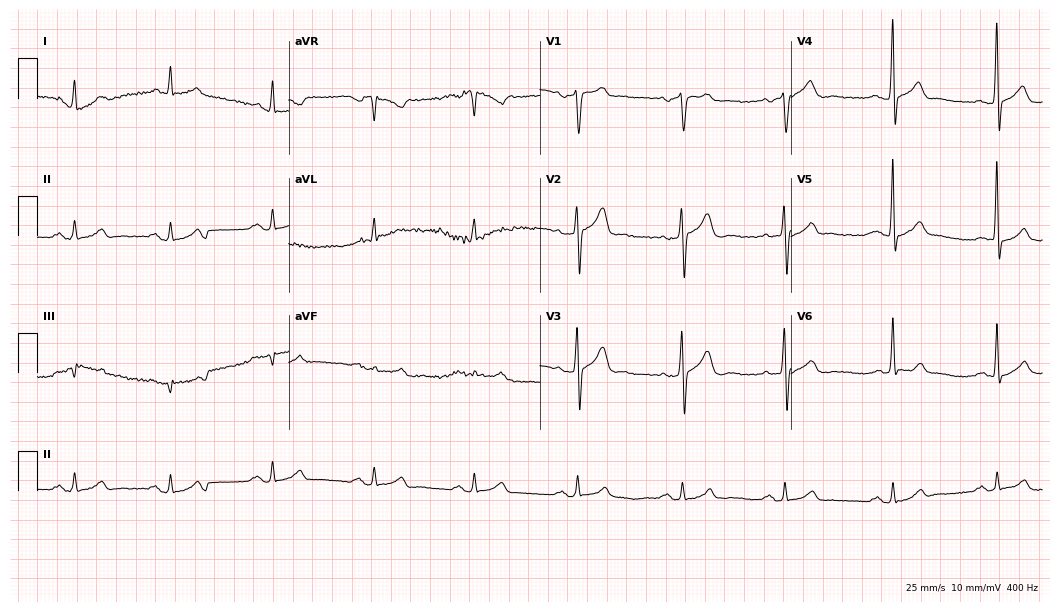
ECG — a 51-year-old man. Labelled as a normal ECG.